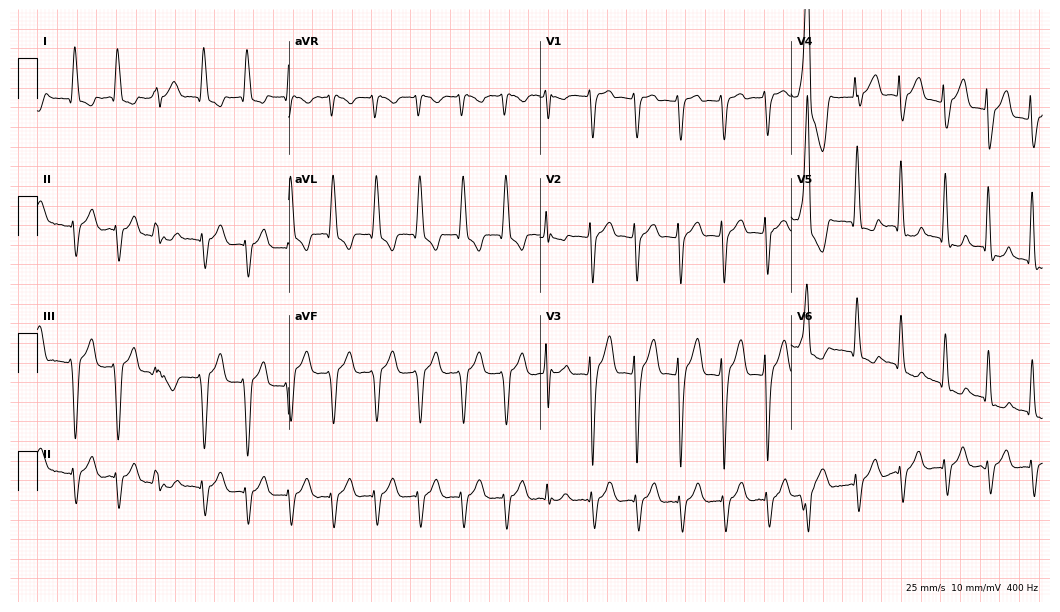
Standard 12-lead ECG recorded from an 83-year-old male (10.2-second recording at 400 Hz). The tracing shows sinus tachycardia (a sinus rate of 100 beats per minute or more).